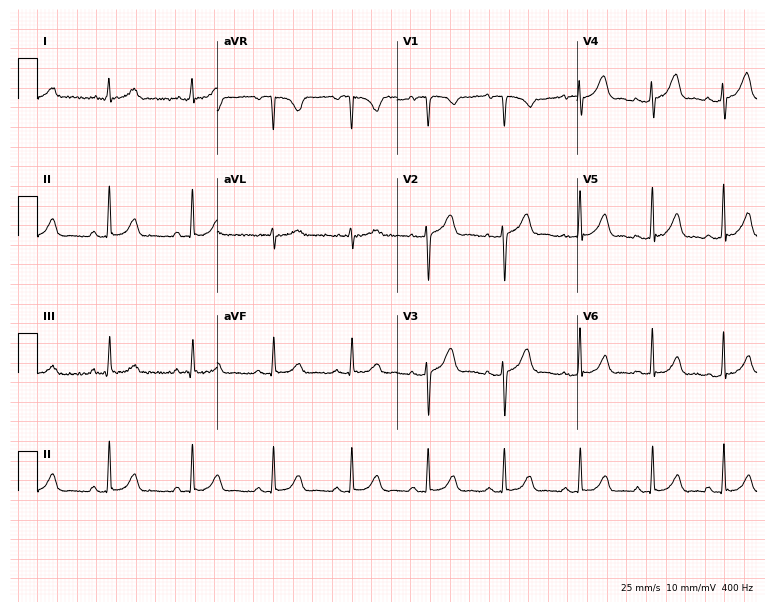
Standard 12-lead ECG recorded from a 30-year-old female patient. Read as a normal ECG.